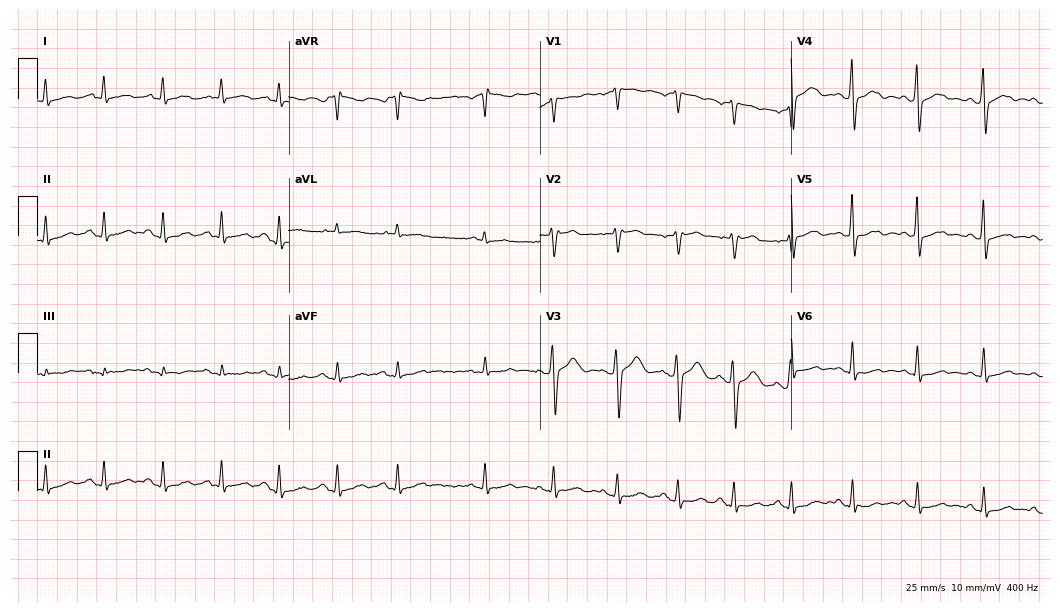
12-lead ECG from a 50-year-old male. No first-degree AV block, right bundle branch block, left bundle branch block, sinus bradycardia, atrial fibrillation or sinus tachycardia recorded for this tracing. Other findings, if any, are not listed.